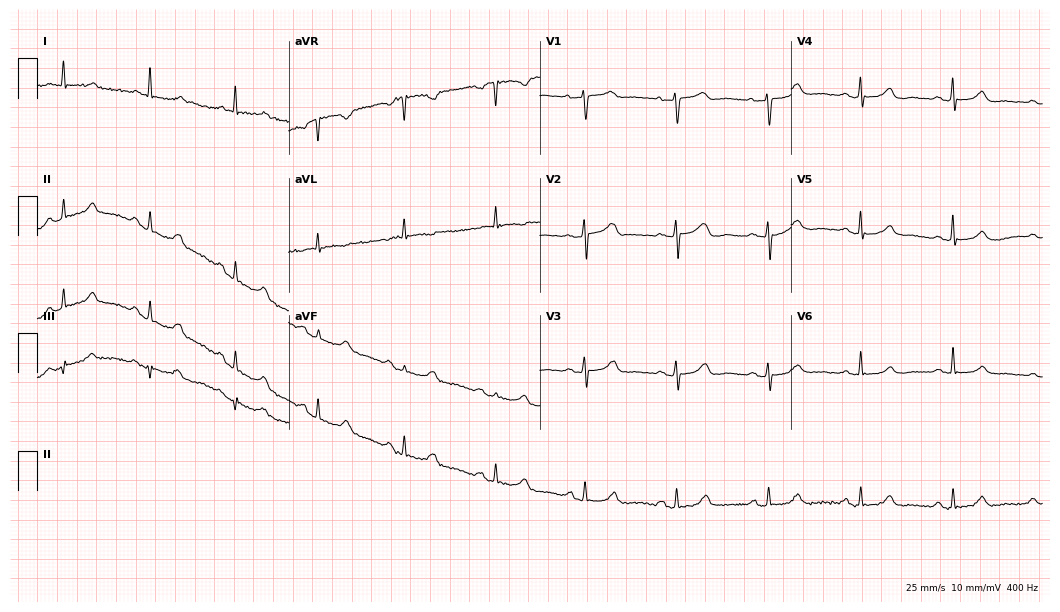
12-lead ECG from a 69-year-old female. Recorded interpretation: within normal limits.